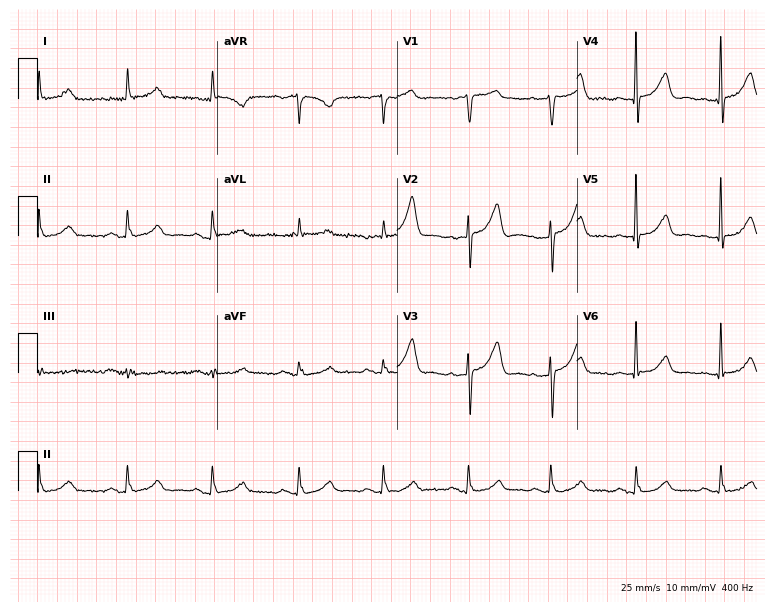
Resting 12-lead electrocardiogram (7.3-second recording at 400 Hz). Patient: a 78-year-old female. Read as a normal ECG.